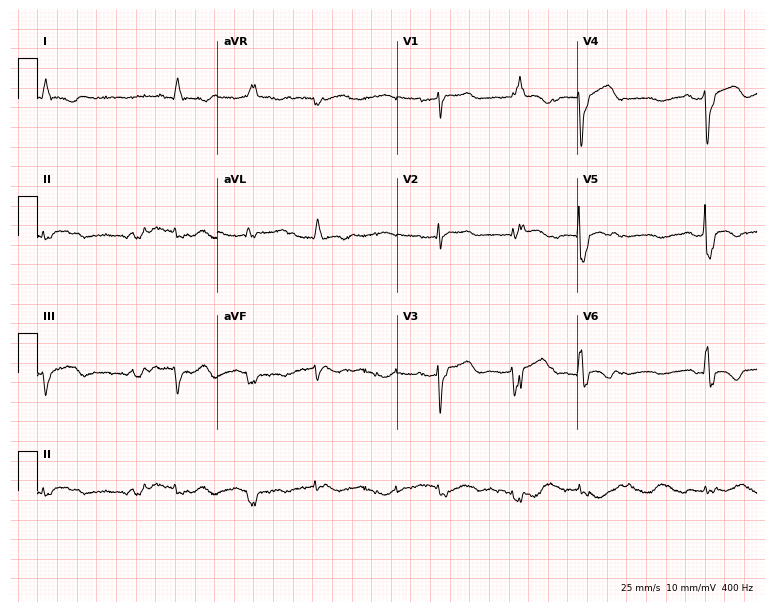
Standard 12-lead ECG recorded from a 58-year-old male patient (7.3-second recording at 400 Hz). None of these six findings is recorded: first-degree AV block, right bundle branch block (RBBB), left bundle branch block (LBBB), sinus bradycardia, atrial fibrillation (AF), sinus tachycardia.